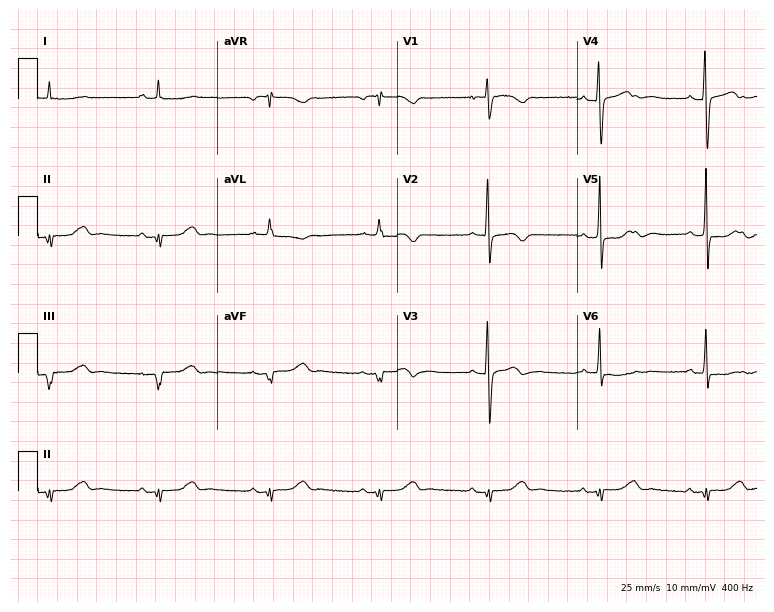
12-lead ECG (7.3-second recording at 400 Hz) from a 58-year-old woman. Screened for six findings — first-degree AV block, right bundle branch block, left bundle branch block, sinus bradycardia, atrial fibrillation, sinus tachycardia — none is recorded. Findings outside these six are not listed.